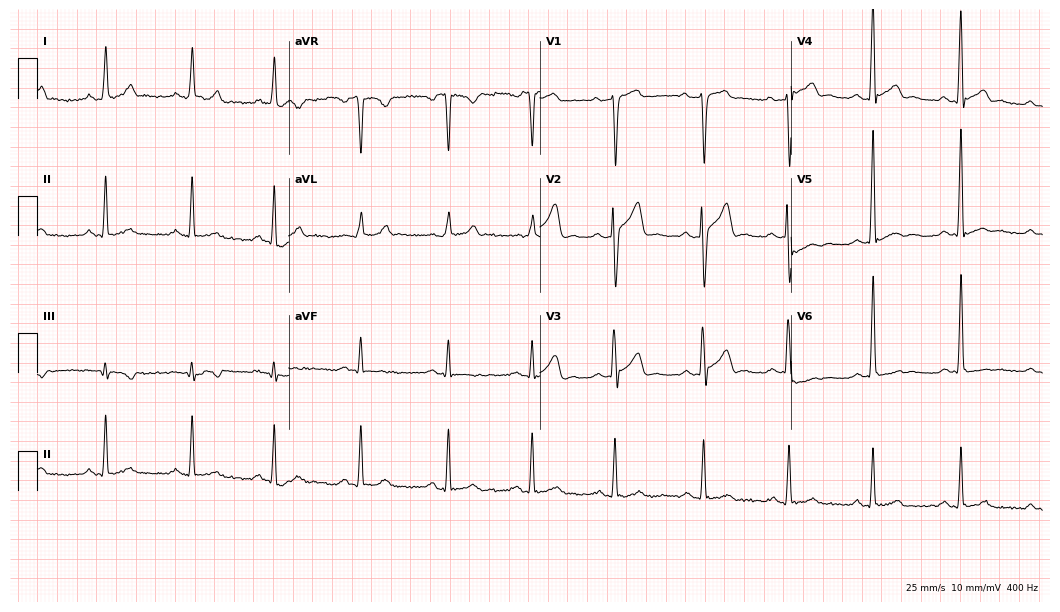
Standard 12-lead ECG recorded from a 38-year-old male patient. None of these six findings is recorded: first-degree AV block, right bundle branch block (RBBB), left bundle branch block (LBBB), sinus bradycardia, atrial fibrillation (AF), sinus tachycardia.